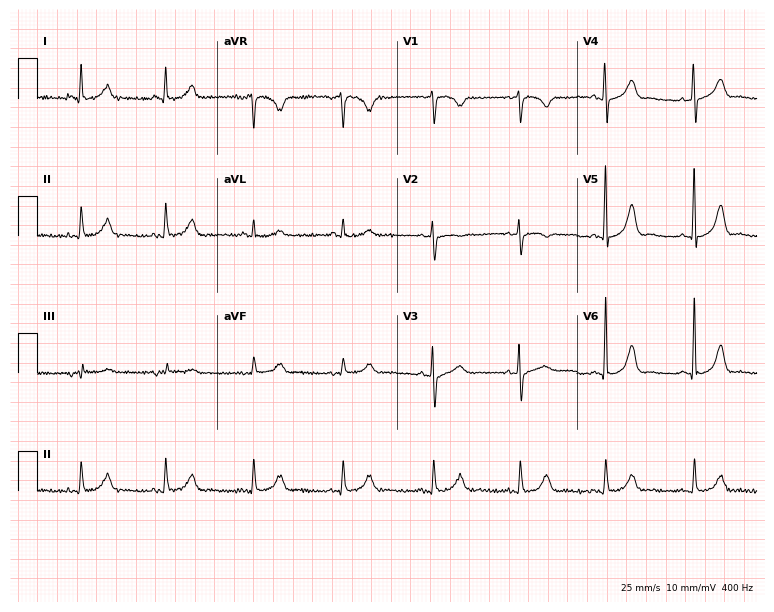
12-lead ECG from a 79-year-old woman (7.3-second recording at 400 Hz). Recorded interpretation: within normal limits.